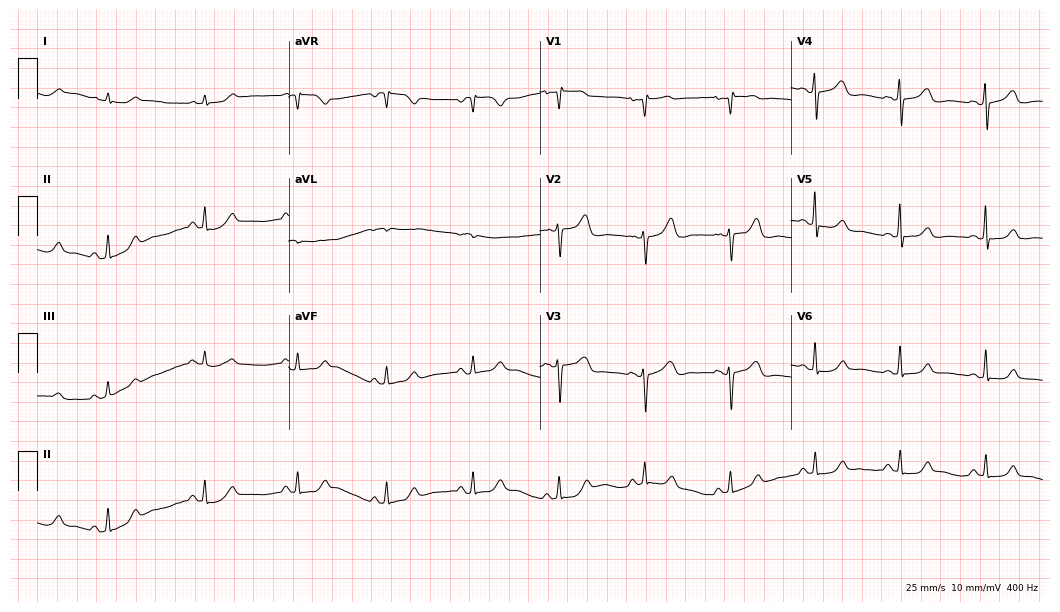
Electrocardiogram, a 61-year-old woman. Overall reading on record: normal ECG.